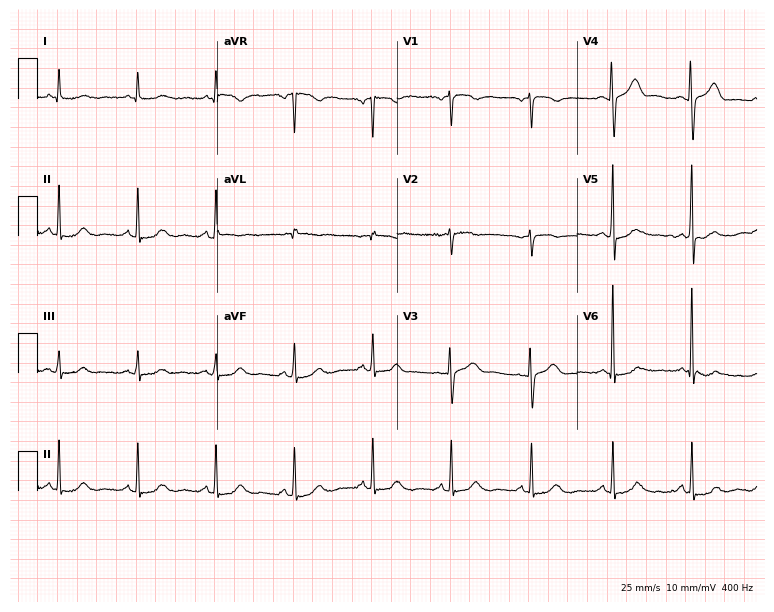
Standard 12-lead ECG recorded from a 60-year-old female patient (7.3-second recording at 400 Hz). None of these six findings is recorded: first-degree AV block, right bundle branch block (RBBB), left bundle branch block (LBBB), sinus bradycardia, atrial fibrillation (AF), sinus tachycardia. Only these six findings were labelled.